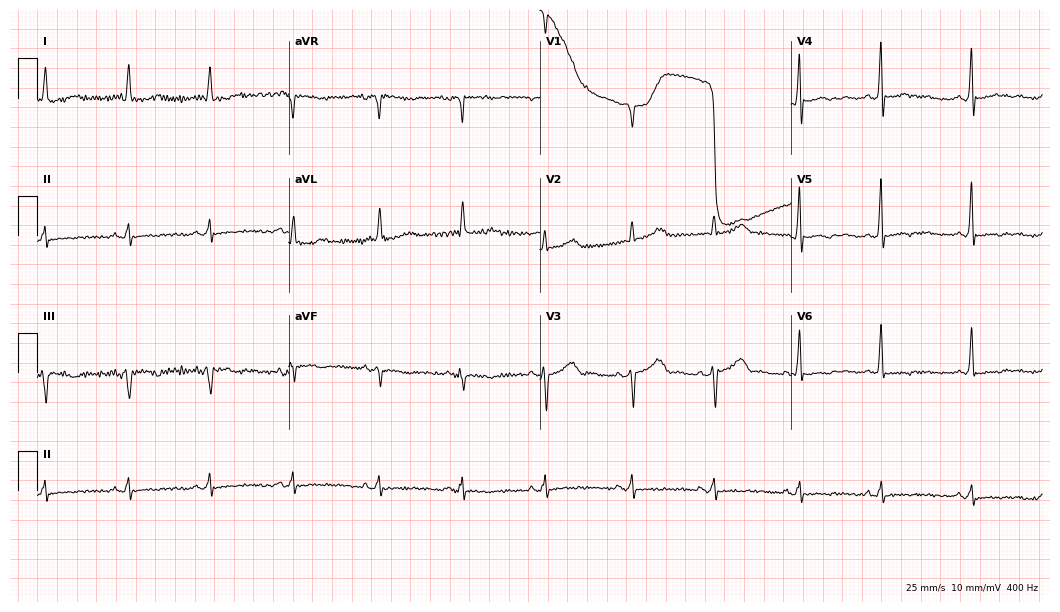
Resting 12-lead electrocardiogram (10.2-second recording at 400 Hz). Patient: an 83-year-old female. None of these six findings is recorded: first-degree AV block, right bundle branch block (RBBB), left bundle branch block (LBBB), sinus bradycardia, atrial fibrillation (AF), sinus tachycardia.